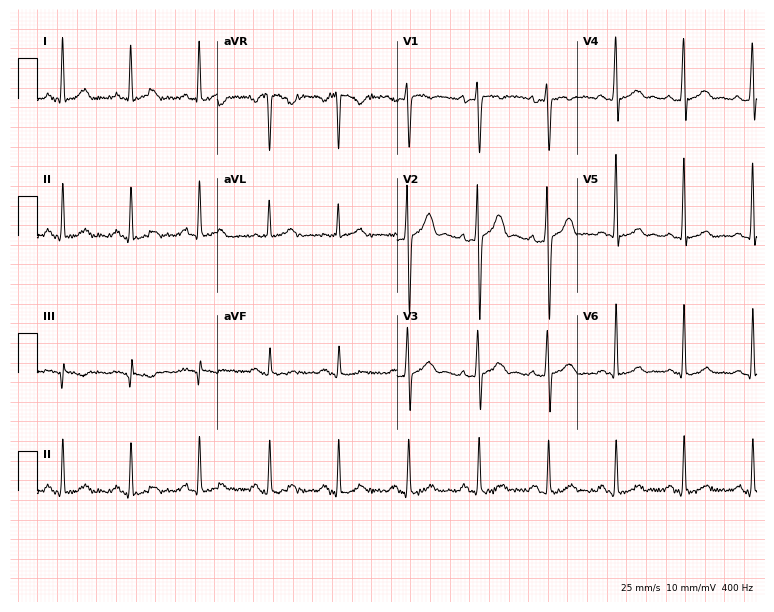
Electrocardiogram, a 28-year-old male patient. Overall reading on record: normal ECG.